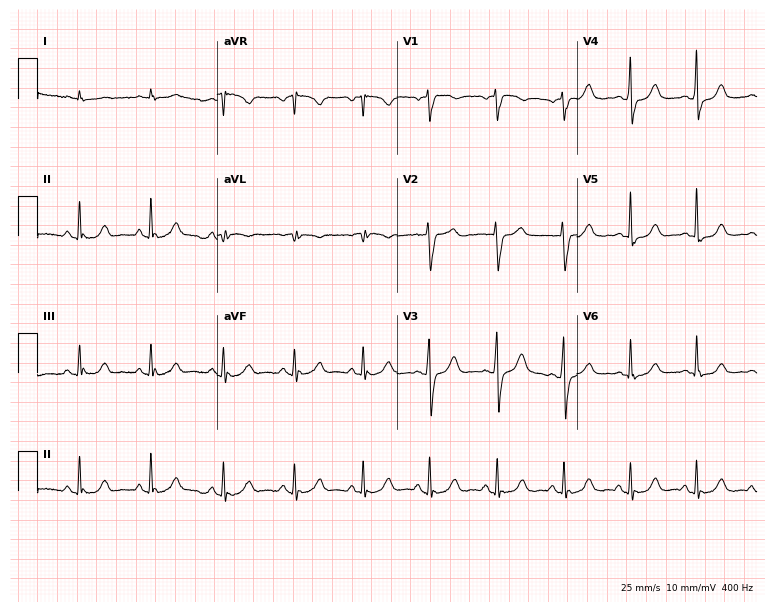
ECG — a 75-year-old male. Screened for six findings — first-degree AV block, right bundle branch block (RBBB), left bundle branch block (LBBB), sinus bradycardia, atrial fibrillation (AF), sinus tachycardia — none is recorded. Only these six findings were labelled.